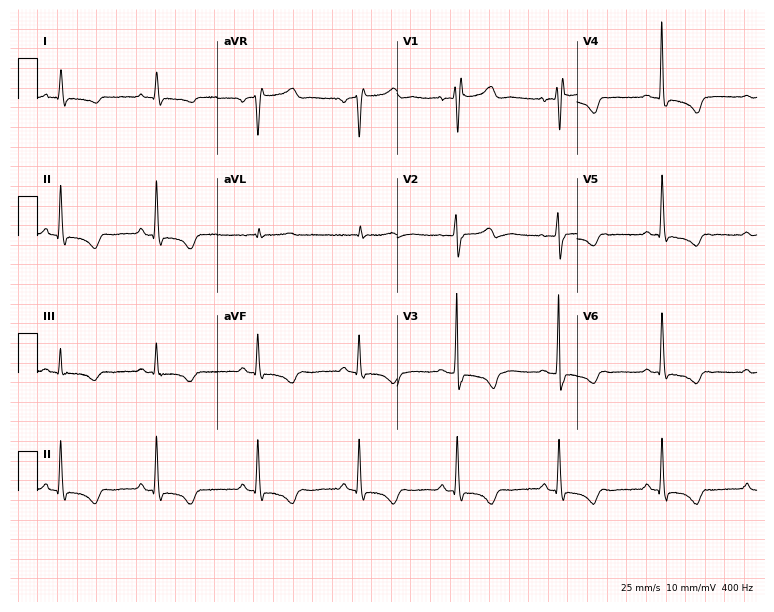
12-lead ECG (7.3-second recording at 400 Hz) from a female, 78 years old. Screened for six findings — first-degree AV block, right bundle branch block, left bundle branch block, sinus bradycardia, atrial fibrillation, sinus tachycardia — none is recorded.